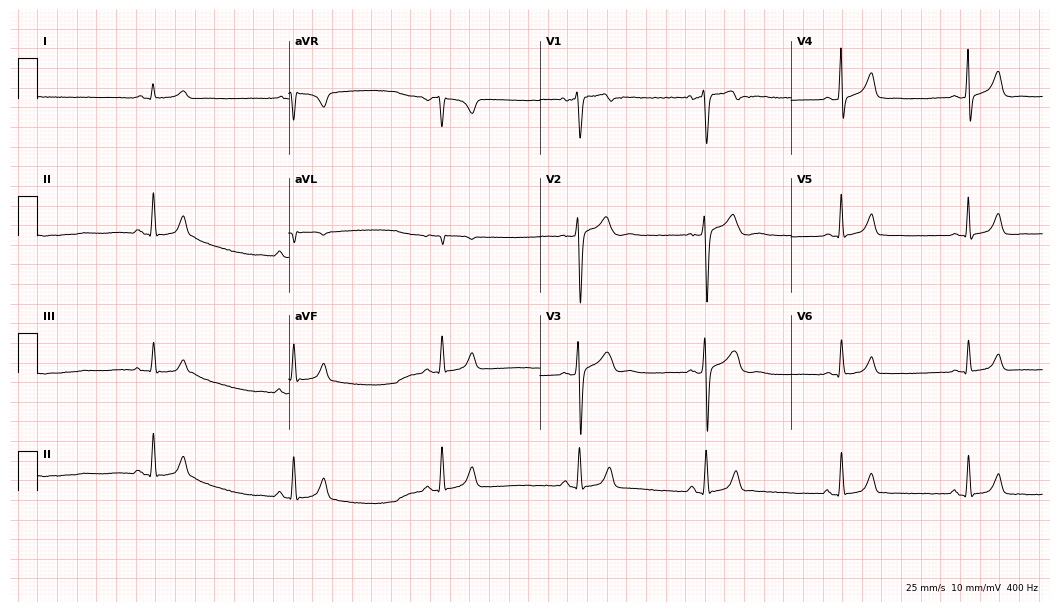
Electrocardiogram, a male, 39 years old. Of the six screened findings (first-degree AV block, right bundle branch block, left bundle branch block, sinus bradycardia, atrial fibrillation, sinus tachycardia), none is recorded.